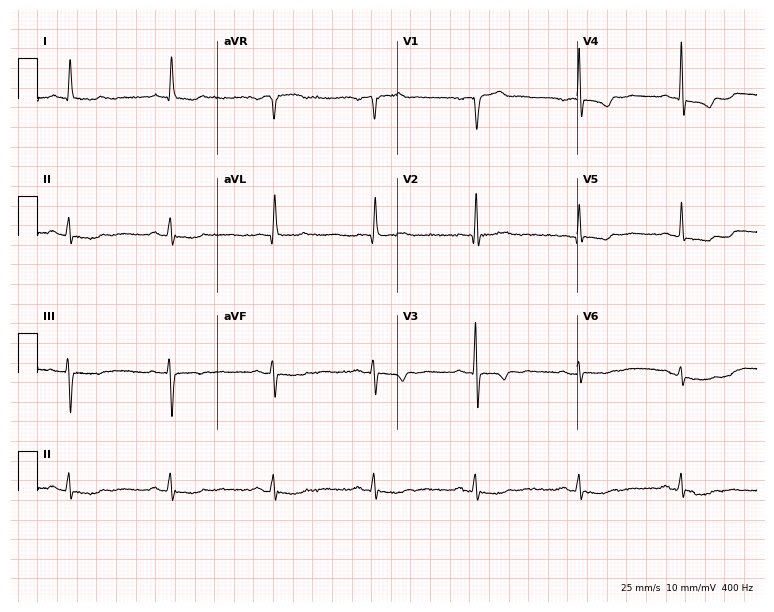
Resting 12-lead electrocardiogram. Patient: a 76-year-old man. None of these six findings is recorded: first-degree AV block, right bundle branch block, left bundle branch block, sinus bradycardia, atrial fibrillation, sinus tachycardia.